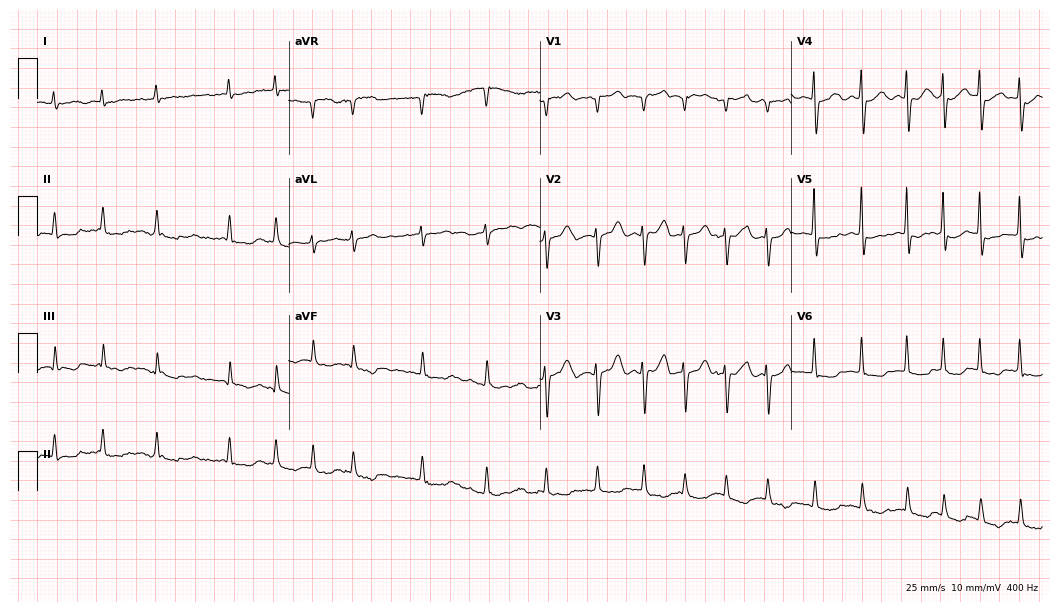
Resting 12-lead electrocardiogram (10.2-second recording at 400 Hz). Patient: a 74-year-old woman. The tracing shows atrial fibrillation.